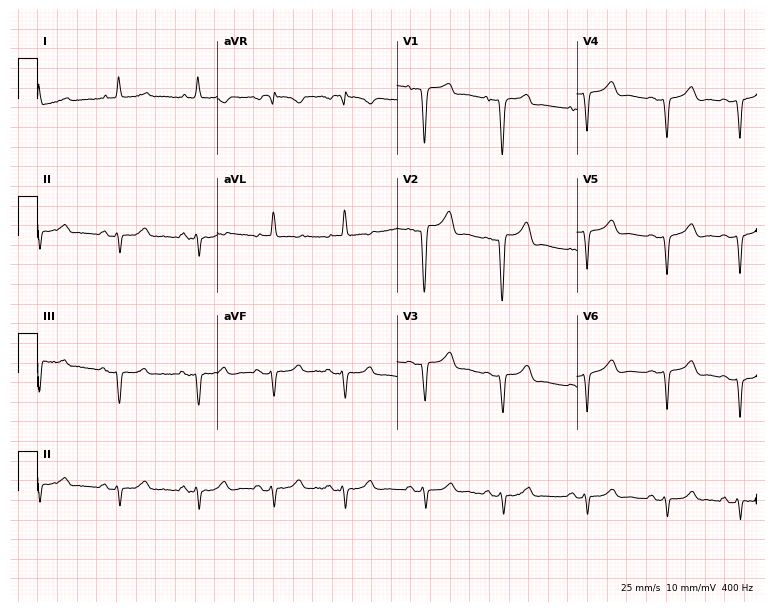
12-lead ECG from a female, 75 years old. Screened for six findings — first-degree AV block, right bundle branch block, left bundle branch block, sinus bradycardia, atrial fibrillation, sinus tachycardia — none is recorded.